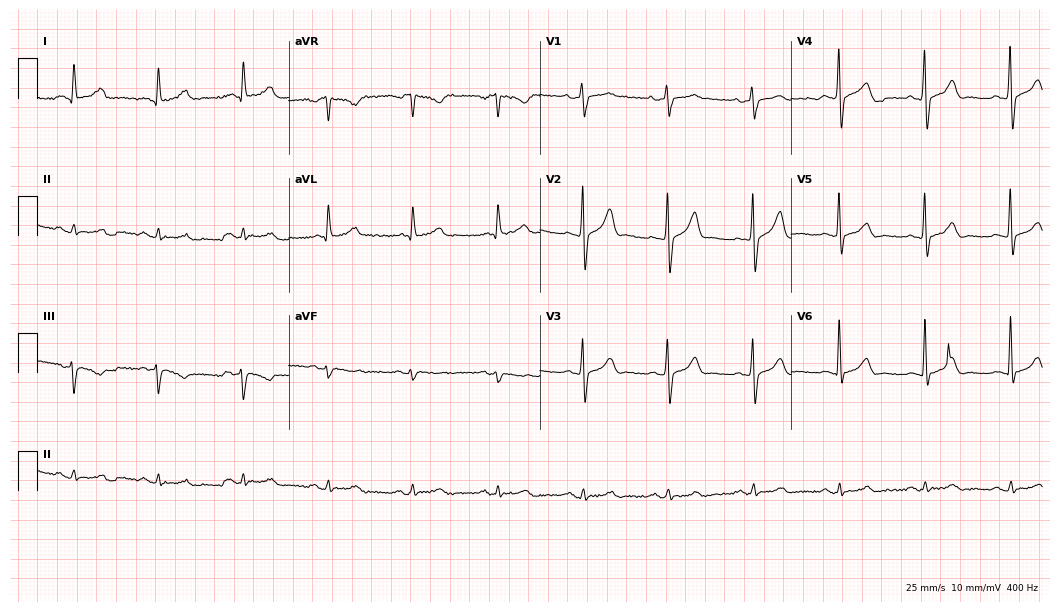
Standard 12-lead ECG recorded from a male patient, 73 years old (10.2-second recording at 400 Hz). None of these six findings is recorded: first-degree AV block, right bundle branch block, left bundle branch block, sinus bradycardia, atrial fibrillation, sinus tachycardia.